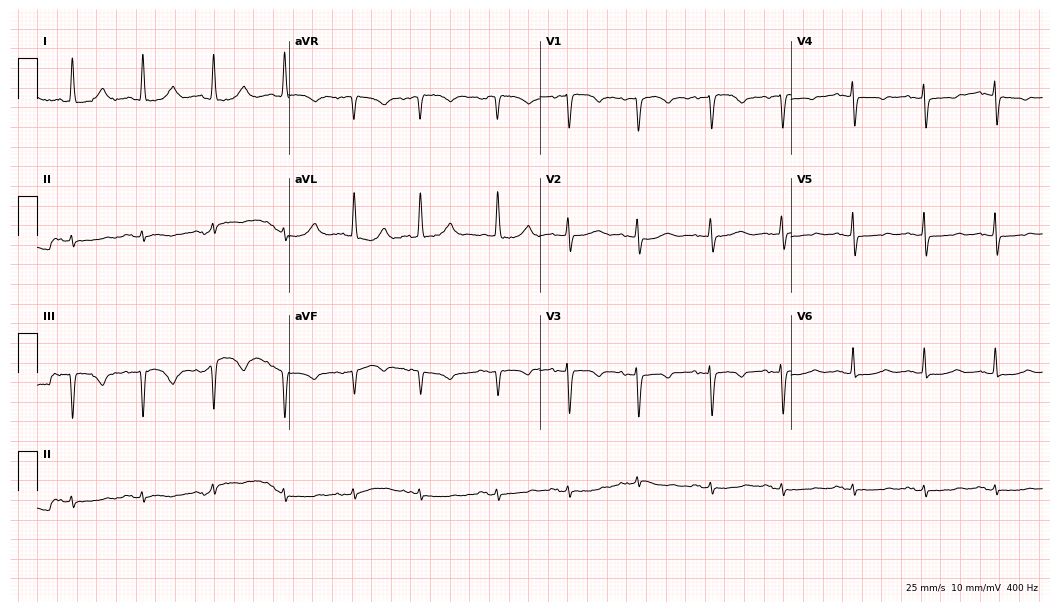
Electrocardiogram (10.2-second recording at 400 Hz), a woman, 85 years old. Of the six screened findings (first-degree AV block, right bundle branch block (RBBB), left bundle branch block (LBBB), sinus bradycardia, atrial fibrillation (AF), sinus tachycardia), none is recorded.